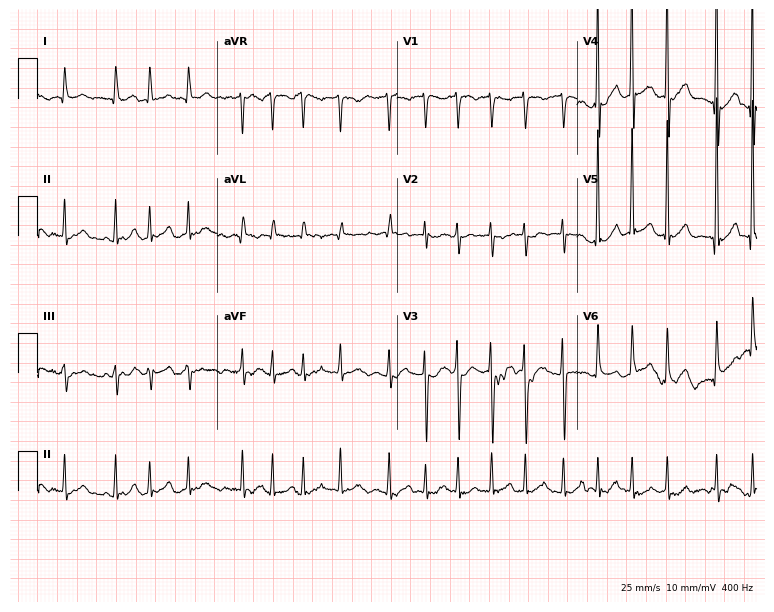
12-lead ECG from a woman, 79 years old. Findings include atrial fibrillation.